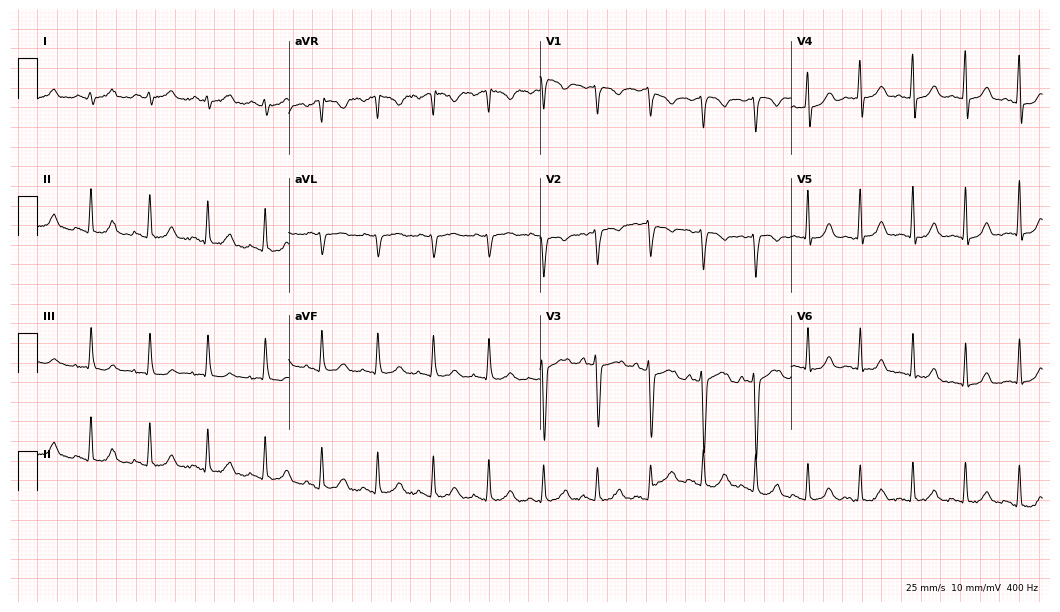
Resting 12-lead electrocardiogram (10.2-second recording at 400 Hz). Patient: a woman, 26 years old. The tracing shows sinus tachycardia (a sinus rate of 100 beats per minute or more).